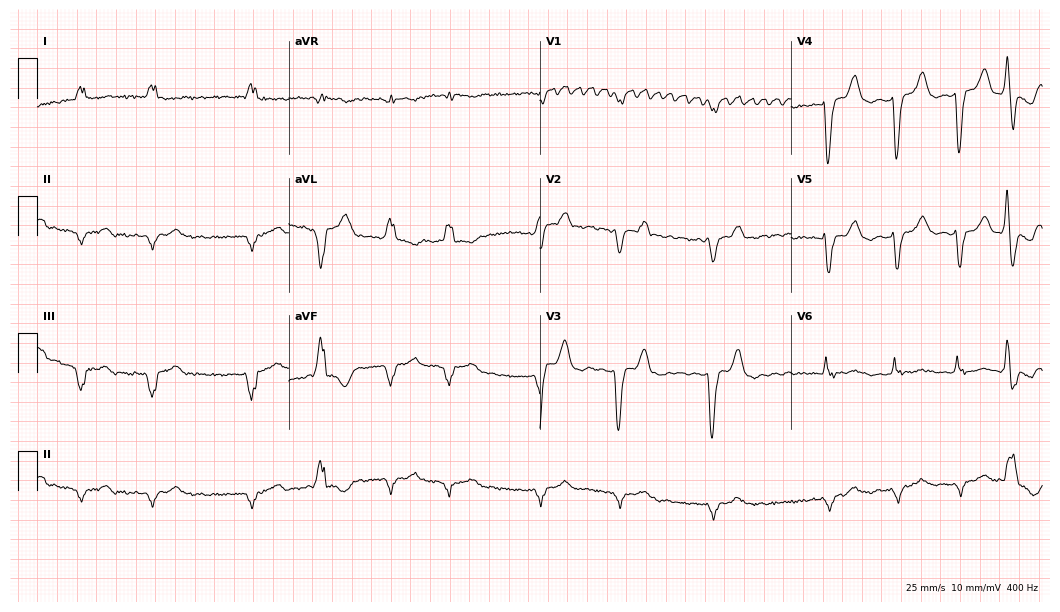
ECG (10.2-second recording at 400 Hz) — a male patient, 71 years old. Screened for six findings — first-degree AV block, right bundle branch block, left bundle branch block, sinus bradycardia, atrial fibrillation, sinus tachycardia — none is recorded.